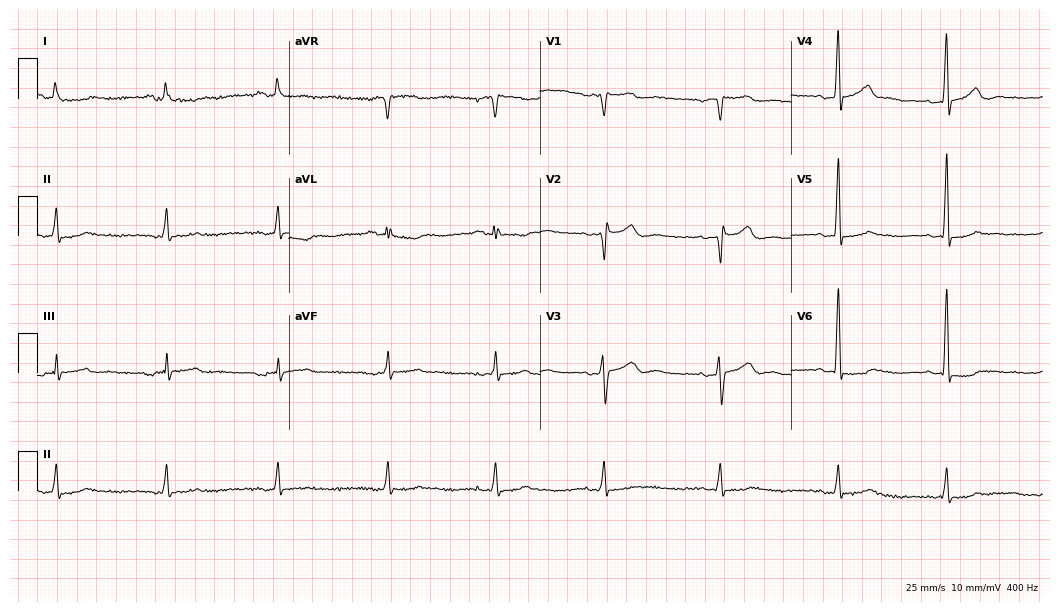
12-lead ECG (10.2-second recording at 400 Hz) from a 49-year-old male. Screened for six findings — first-degree AV block, right bundle branch block (RBBB), left bundle branch block (LBBB), sinus bradycardia, atrial fibrillation (AF), sinus tachycardia — none is recorded. Only these six findings were labelled.